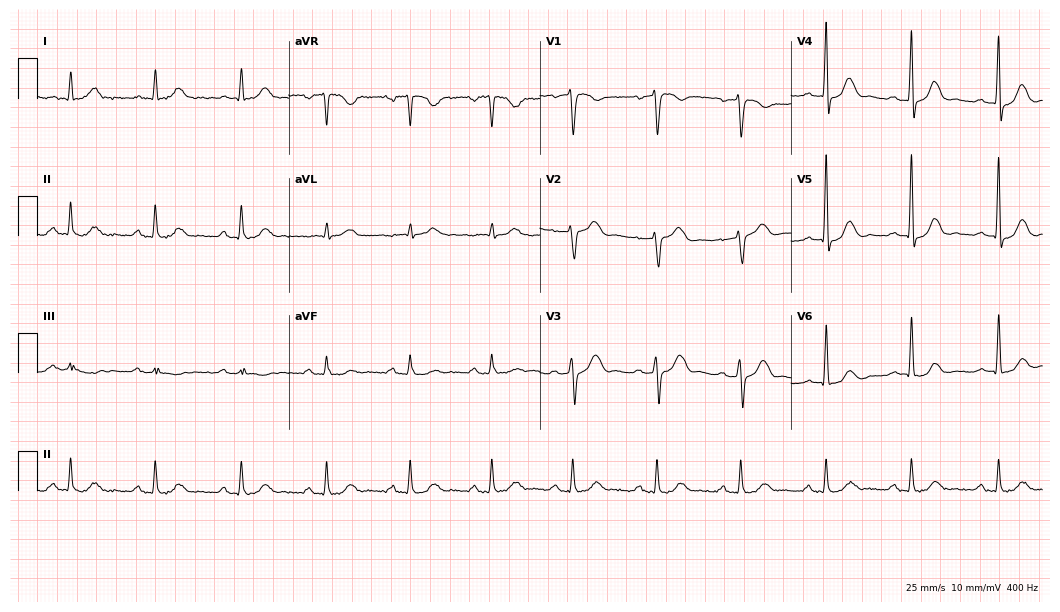
Electrocardiogram (10.2-second recording at 400 Hz), a male, 62 years old. Overall reading on record: normal ECG.